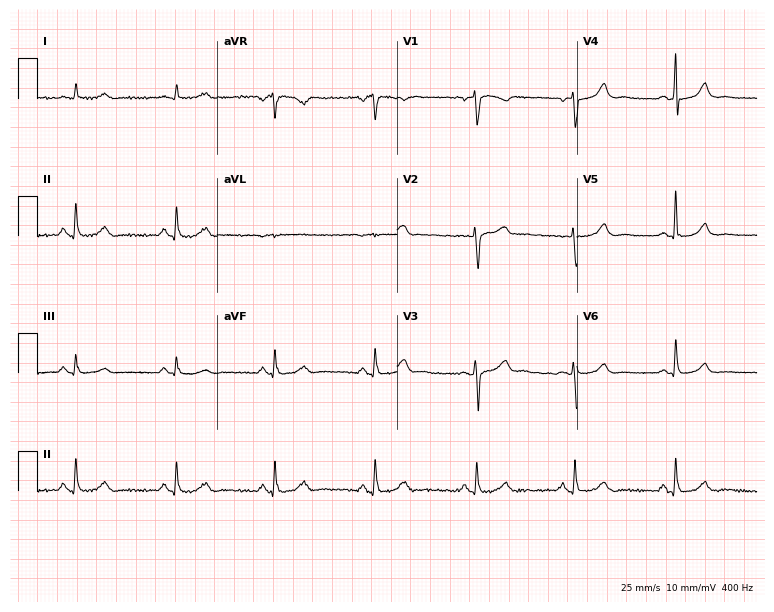
Resting 12-lead electrocardiogram (7.3-second recording at 400 Hz). Patient: a male, 51 years old. Read as a normal ECG.